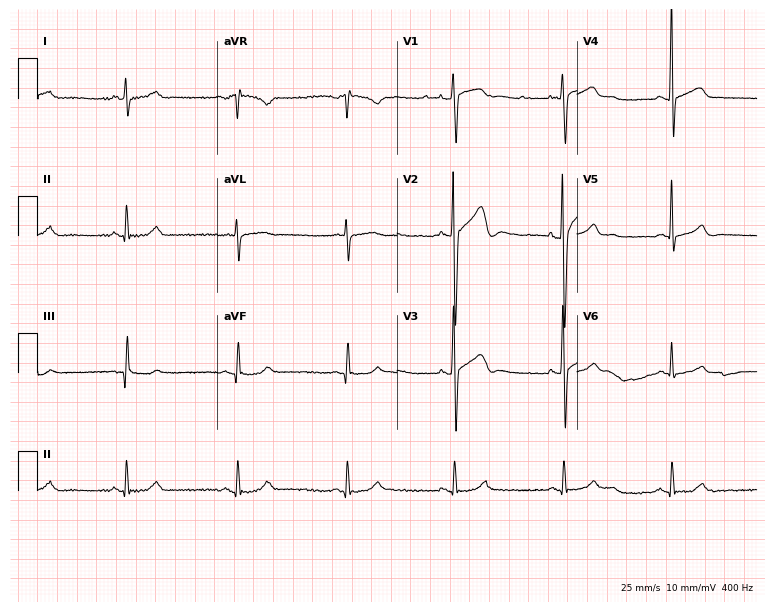
Electrocardiogram (7.3-second recording at 400 Hz), a man, 33 years old. Overall reading on record: normal ECG.